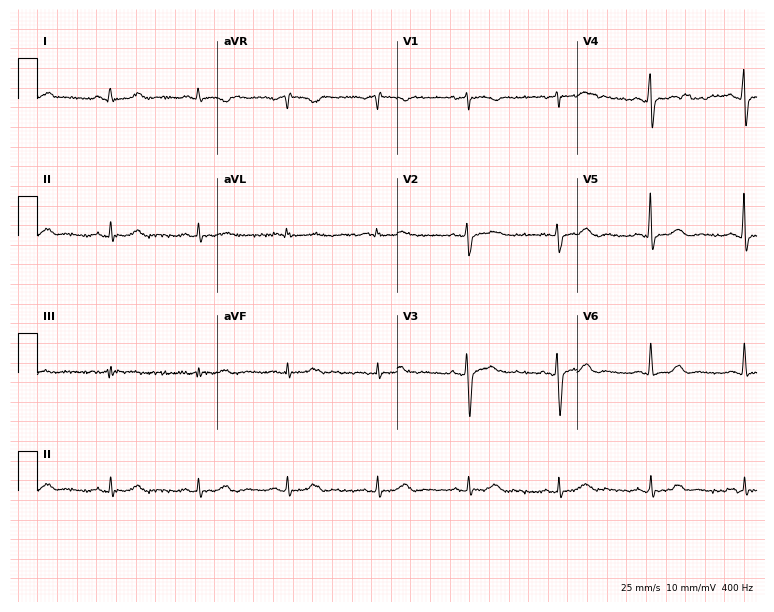
12-lead ECG from a 67-year-old woman. No first-degree AV block, right bundle branch block, left bundle branch block, sinus bradycardia, atrial fibrillation or sinus tachycardia recorded for this tracing. Only these six findings were labelled.